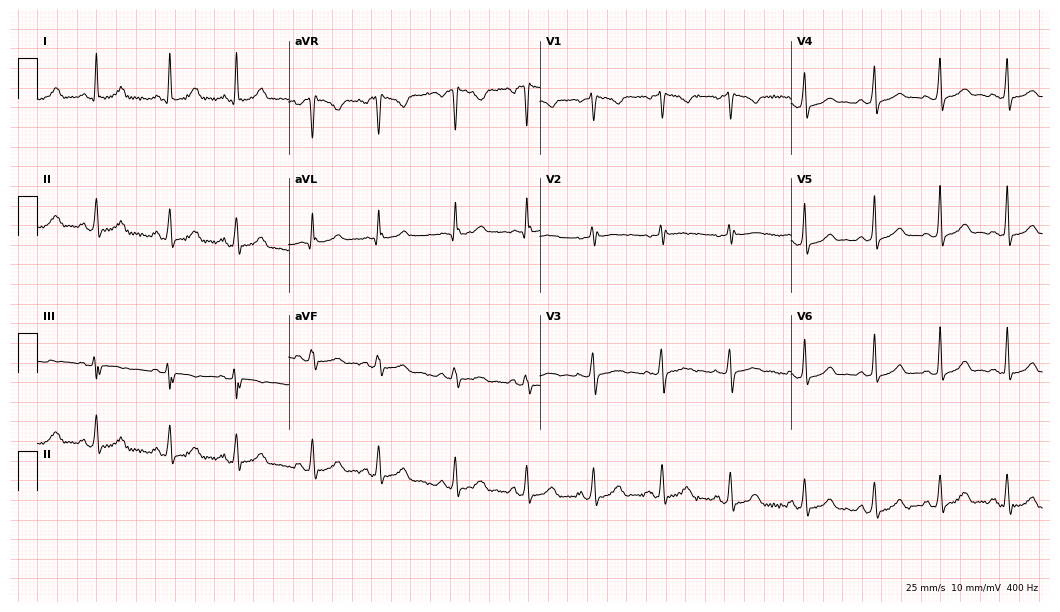
12-lead ECG from a 38-year-old female patient. Labelled as a normal ECG.